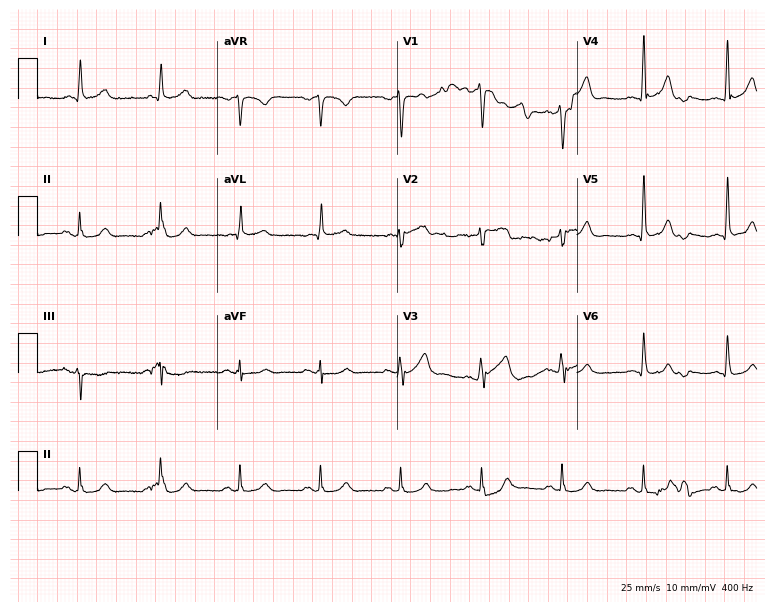
12-lead ECG from a 67-year-old male patient. Labelled as a normal ECG.